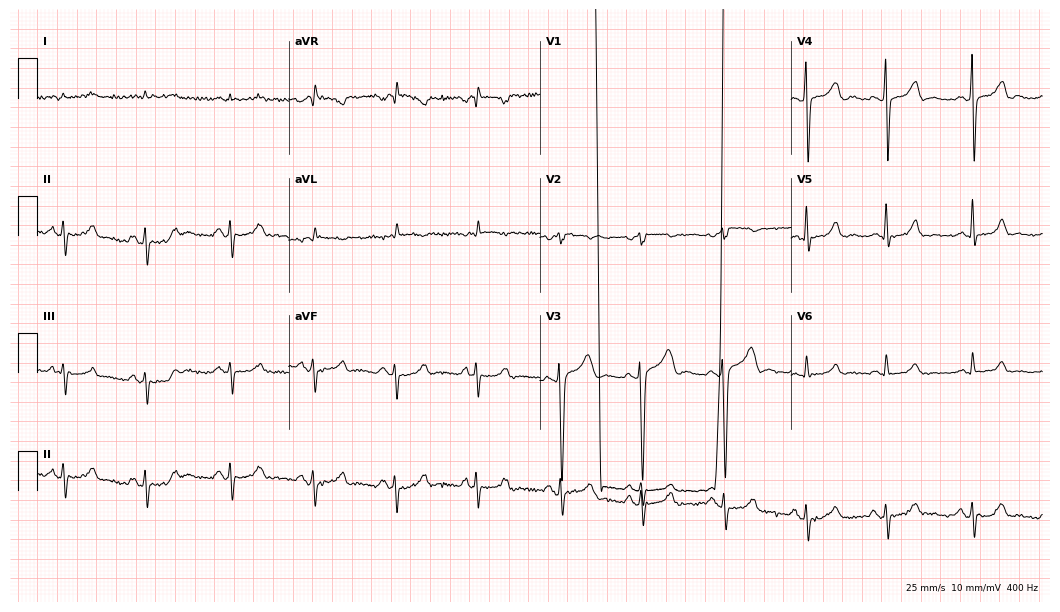
Resting 12-lead electrocardiogram. Patient: a 49-year-old woman. None of these six findings is recorded: first-degree AV block, right bundle branch block (RBBB), left bundle branch block (LBBB), sinus bradycardia, atrial fibrillation (AF), sinus tachycardia.